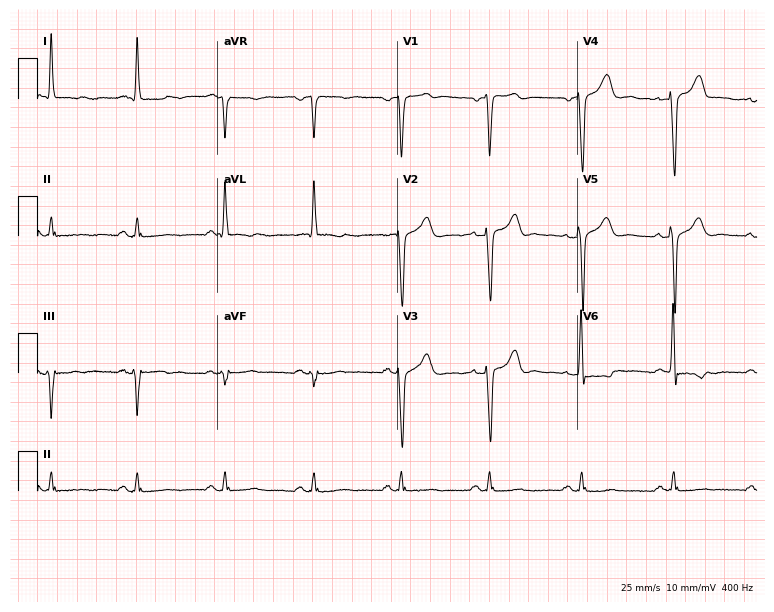
Standard 12-lead ECG recorded from a 69-year-old male patient (7.3-second recording at 400 Hz). None of these six findings is recorded: first-degree AV block, right bundle branch block, left bundle branch block, sinus bradycardia, atrial fibrillation, sinus tachycardia. Other findings, if any, are not listed.